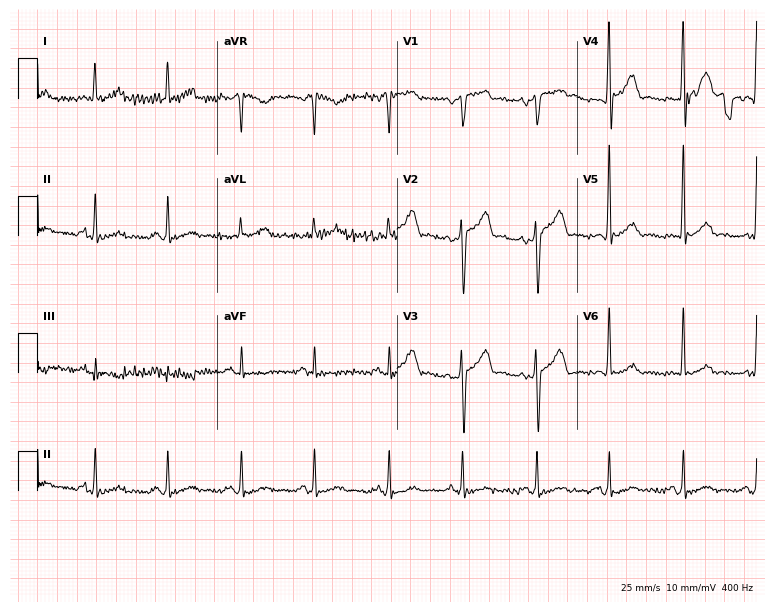
Electrocardiogram, a 48-year-old male. Of the six screened findings (first-degree AV block, right bundle branch block, left bundle branch block, sinus bradycardia, atrial fibrillation, sinus tachycardia), none is recorded. Findings outside these six are not listed.